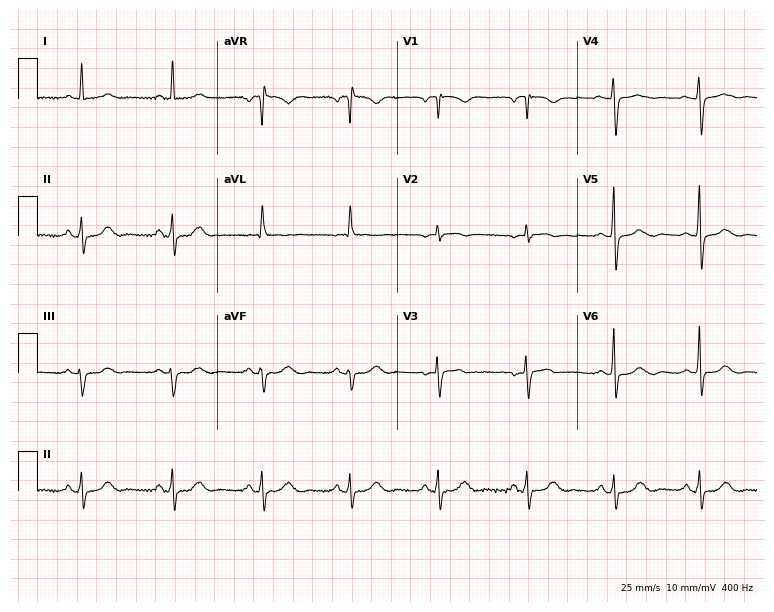
12-lead ECG from a woman, 74 years old. No first-degree AV block, right bundle branch block, left bundle branch block, sinus bradycardia, atrial fibrillation or sinus tachycardia recorded for this tracing. Other findings, if any, are not listed.